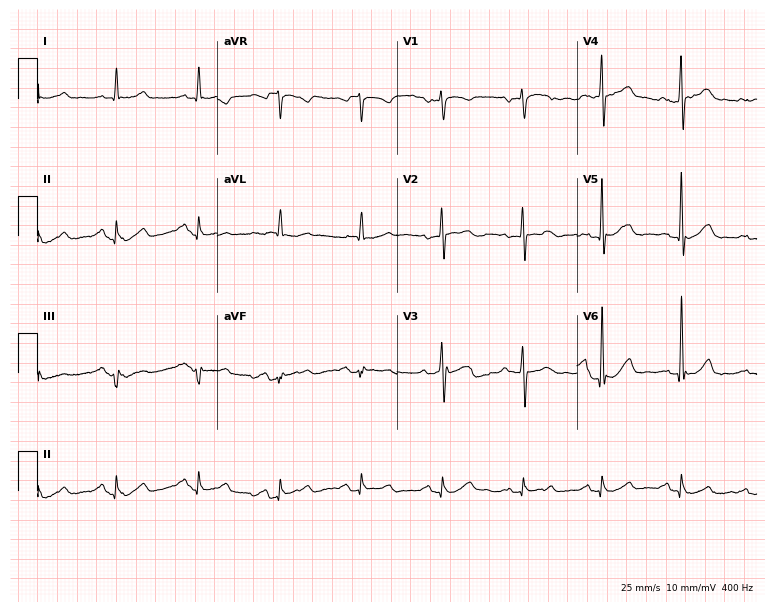
Electrocardiogram (7.3-second recording at 400 Hz), a male patient, 77 years old. Overall reading on record: normal ECG.